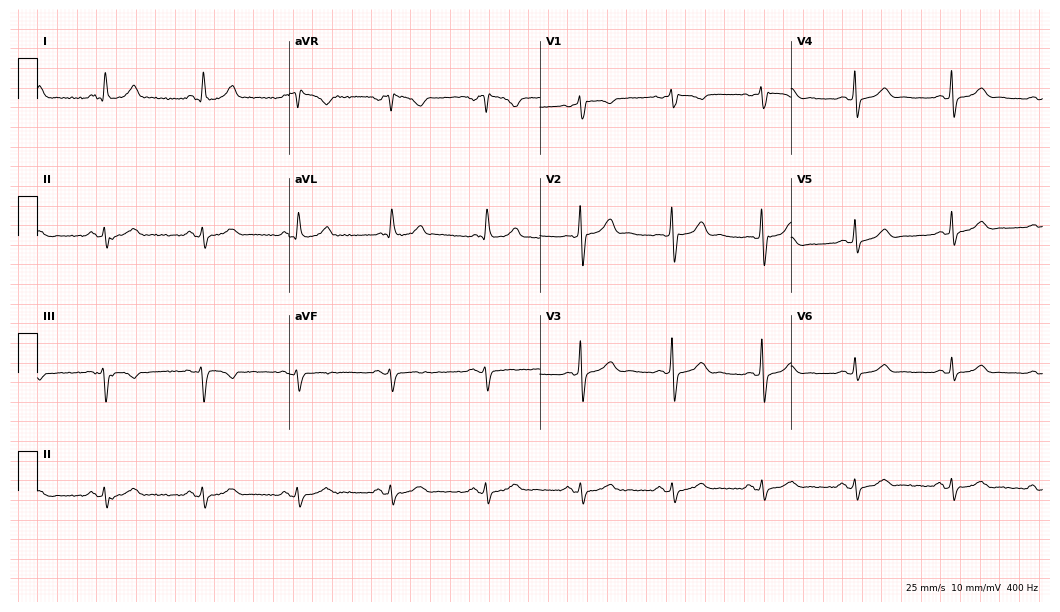
Standard 12-lead ECG recorded from a woman, 49 years old (10.2-second recording at 400 Hz). None of these six findings is recorded: first-degree AV block, right bundle branch block (RBBB), left bundle branch block (LBBB), sinus bradycardia, atrial fibrillation (AF), sinus tachycardia.